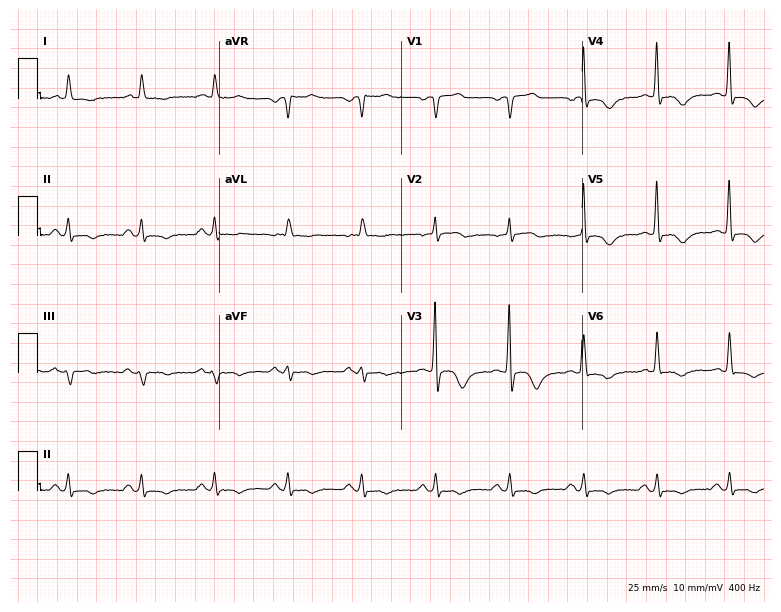
12-lead ECG from an 82-year-old male. Screened for six findings — first-degree AV block, right bundle branch block, left bundle branch block, sinus bradycardia, atrial fibrillation, sinus tachycardia — none is recorded.